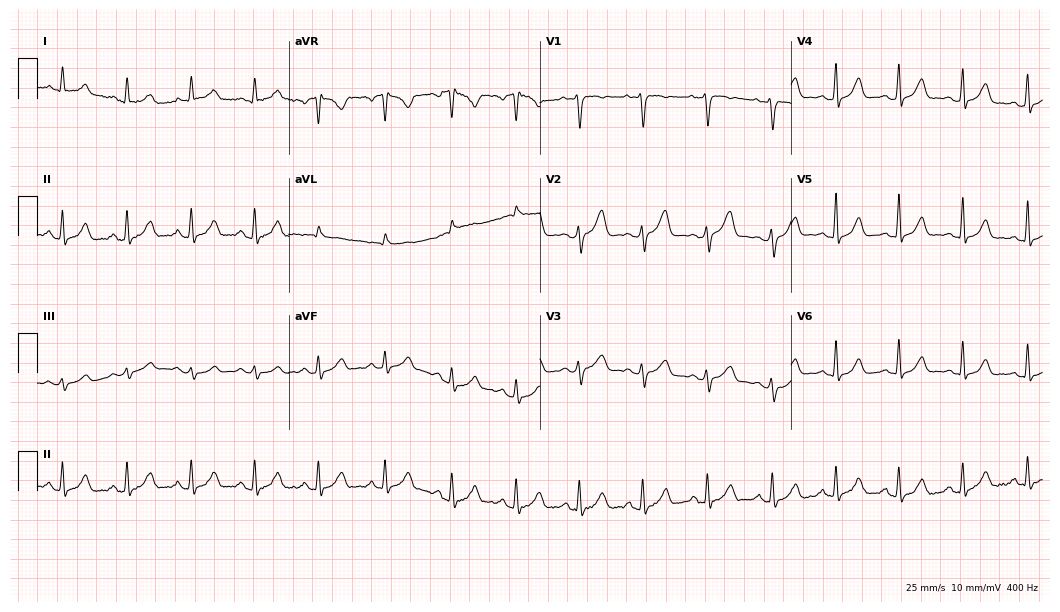
ECG (10.2-second recording at 400 Hz) — a 41-year-old female. Labelled as a normal ECG.